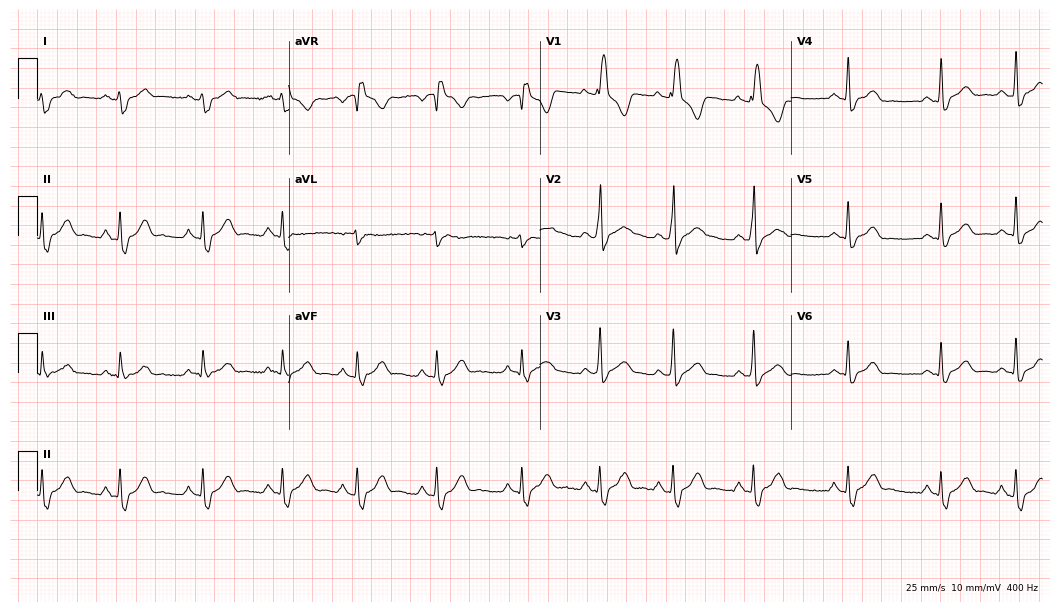
12-lead ECG from a male patient, 38 years old. Shows right bundle branch block.